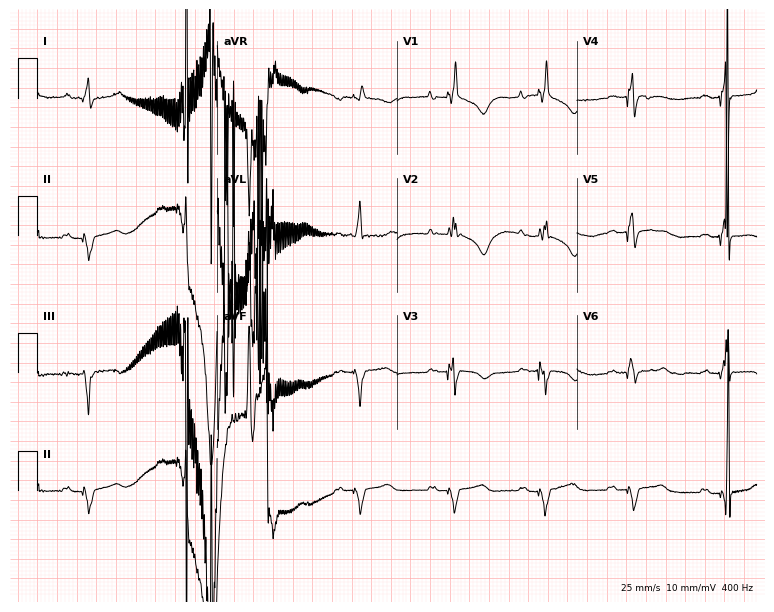
ECG (7.3-second recording at 400 Hz) — an 80-year-old female. Screened for six findings — first-degree AV block, right bundle branch block (RBBB), left bundle branch block (LBBB), sinus bradycardia, atrial fibrillation (AF), sinus tachycardia — none is recorded.